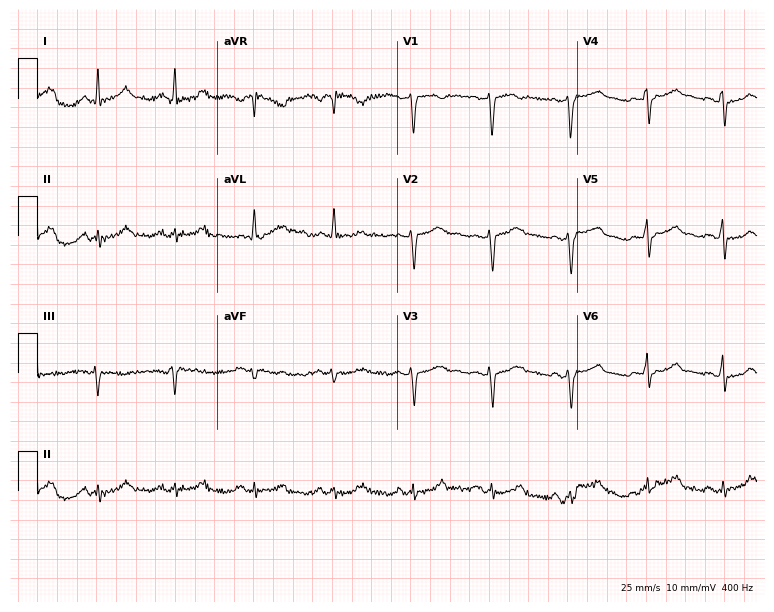
Resting 12-lead electrocardiogram. Patient: a female, 47 years old. None of these six findings is recorded: first-degree AV block, right bundle branch block, left bundle branch block, sinus bradycardia, atrial fibrillation, sinus tachycardia. Other findings, if any, are not listed.